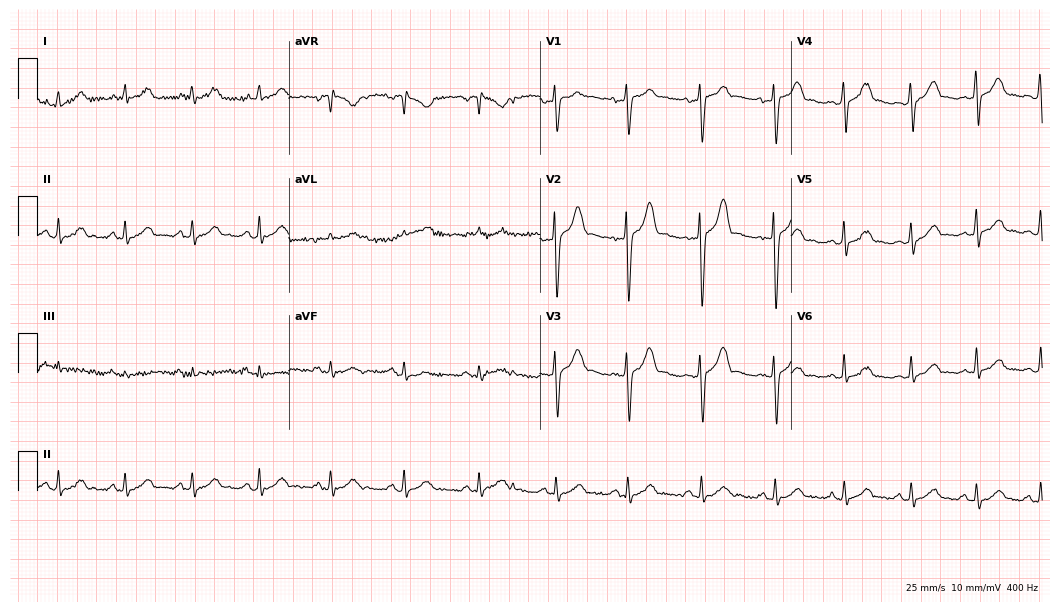
12-lead ECG from a man, 30 years old. Labelled as a normal ECG.